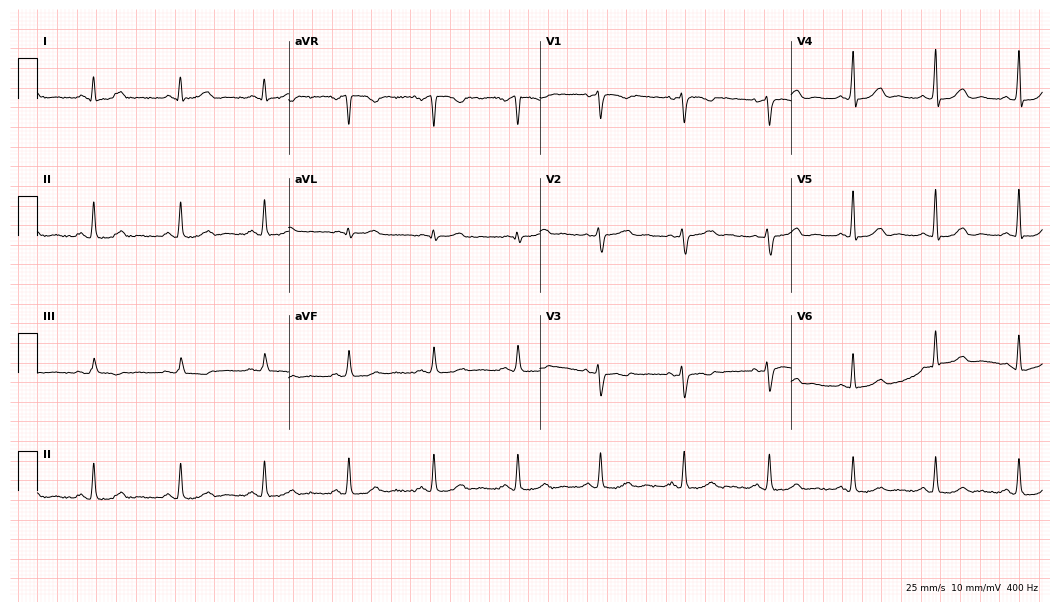
12-lead ECG from a 50-year-old female. Labelled as a normal ECG.